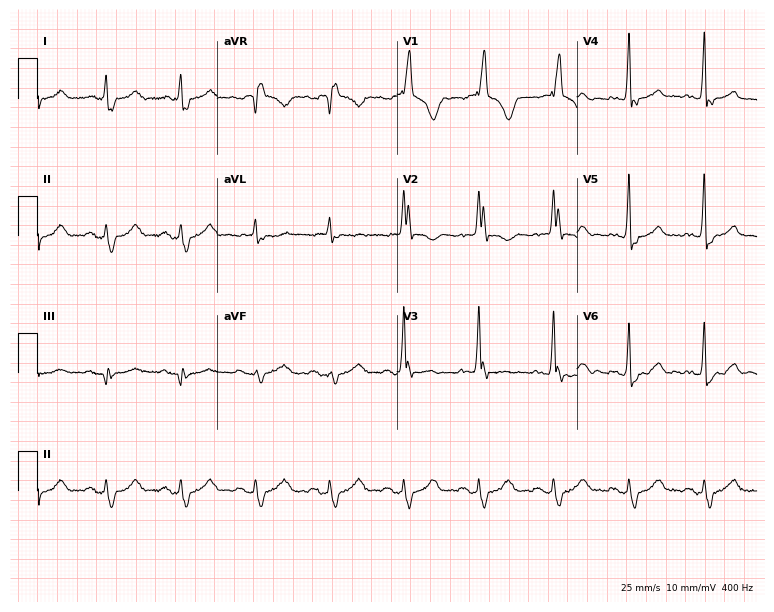
Electrocardiogram (7.3-second recording at 400 Hz), a 67-year-old man. Interpretation includes right bundle branch block.